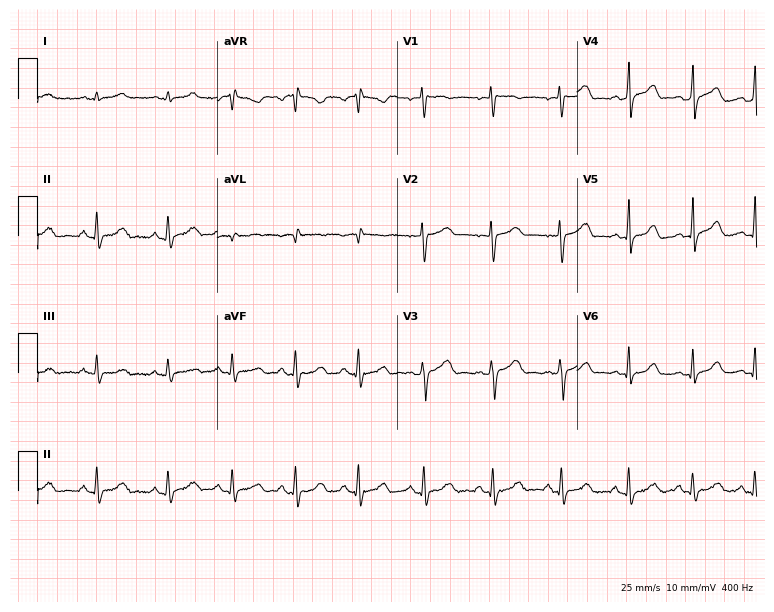
ECG (7.3-second recording at 400 Hz) — a female patient, 29 years old. Screened for six findings — first-degree AV block, right bundle branch block (RBBB), left bundle branch block (LBBB), sinus bradycardia, atrial fibrillation (AF), sinus tachycardia — none is recorded. Findings outside these six are not listed.